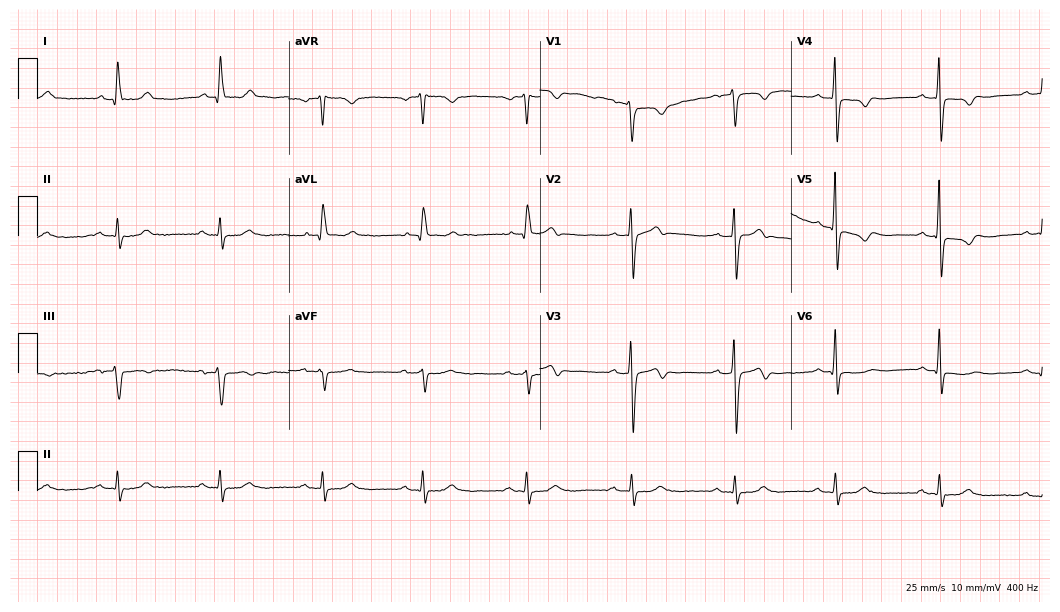
ECG (10.2-second recording at 400 Hz) — a woman, 55 years old. Screened for six findings — first-degree AV block, right bundle branch block, left bundle branch block, sinus bradycardia, atrial fibrillation, sinus tachycardia — none is recorded.